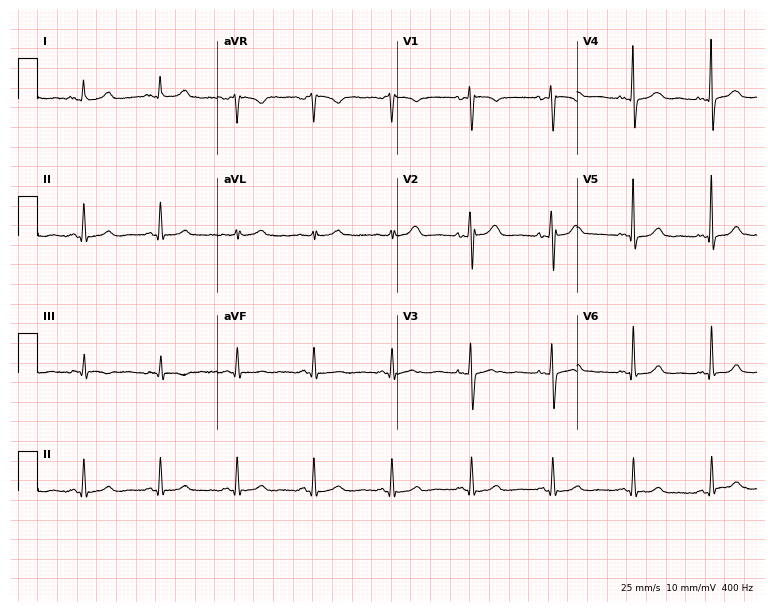
Electrocardiogram (7.3-second recording at 400 Hz), a 45-year-old female. Overall reading on record: normal ECG.